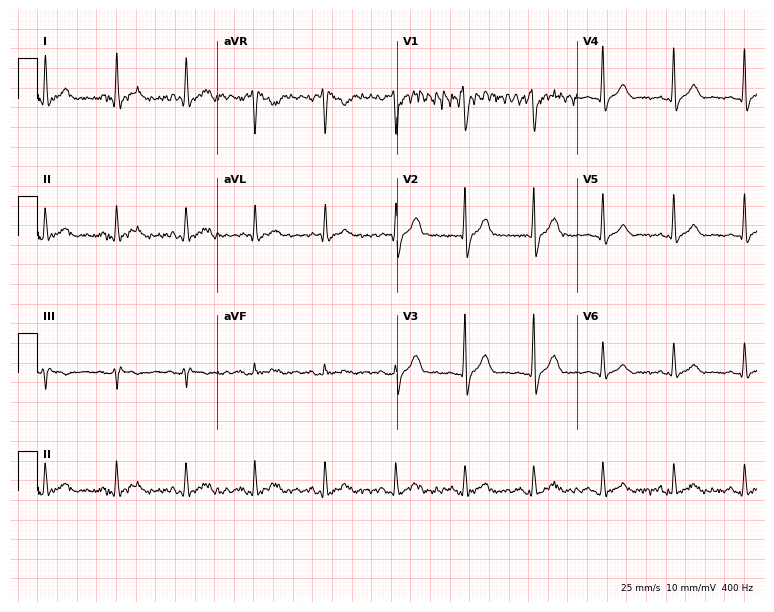
12-lead ECG from a male, 36 years old (7.3-second recording at 400 Hz). No first-degree AV block, right bundle branch block, left bundle branch block, sinus bradycardia, atrial fibrillation or sinus tachycardia recorded for this tracing. Only these six findings were labelled.